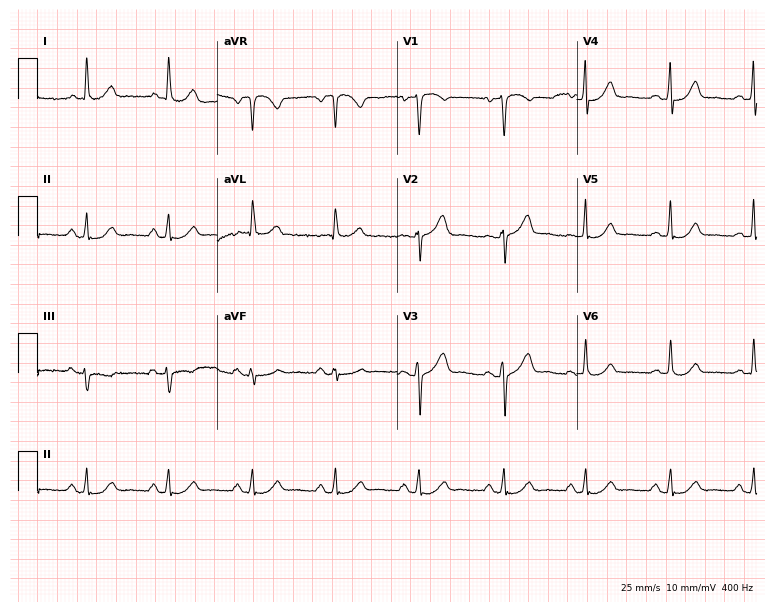
Electrocardiogram (7.3-second recording at 400 Hz), a 56-year-old female patient. Overall reading on record: normal ECG.